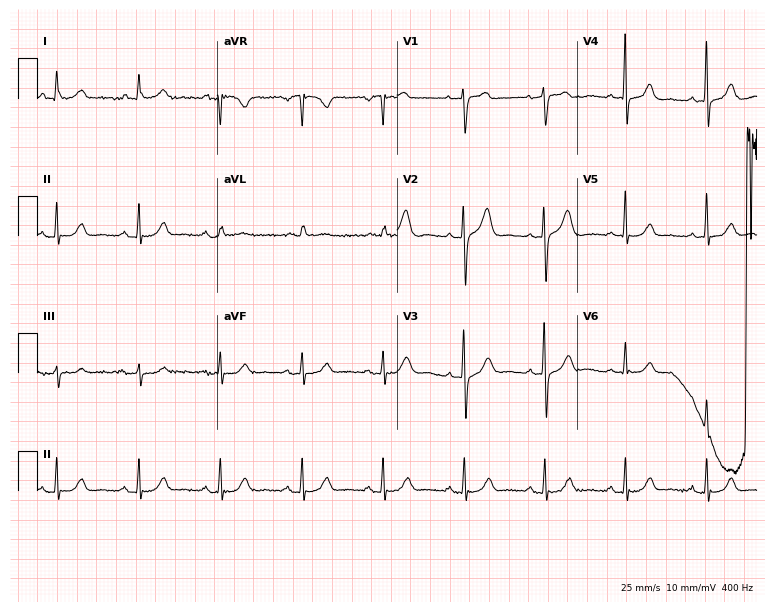
Electrocardiogram, a 67-year-old woman. Overall reading on record: normal ECG.